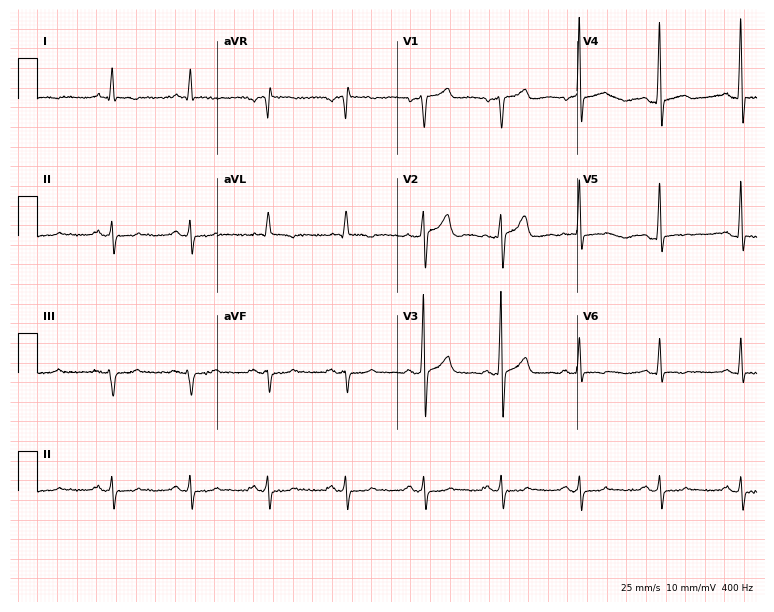
12-lead ECG from a 62-year-old male patient. Screened for six findings — first-degree AV block, right bundle branch block, left bundle branch block, sinus bradycardia, atrial fibrillation, sinus tachycardia — none is recorded. Findings outside these six are not listed.